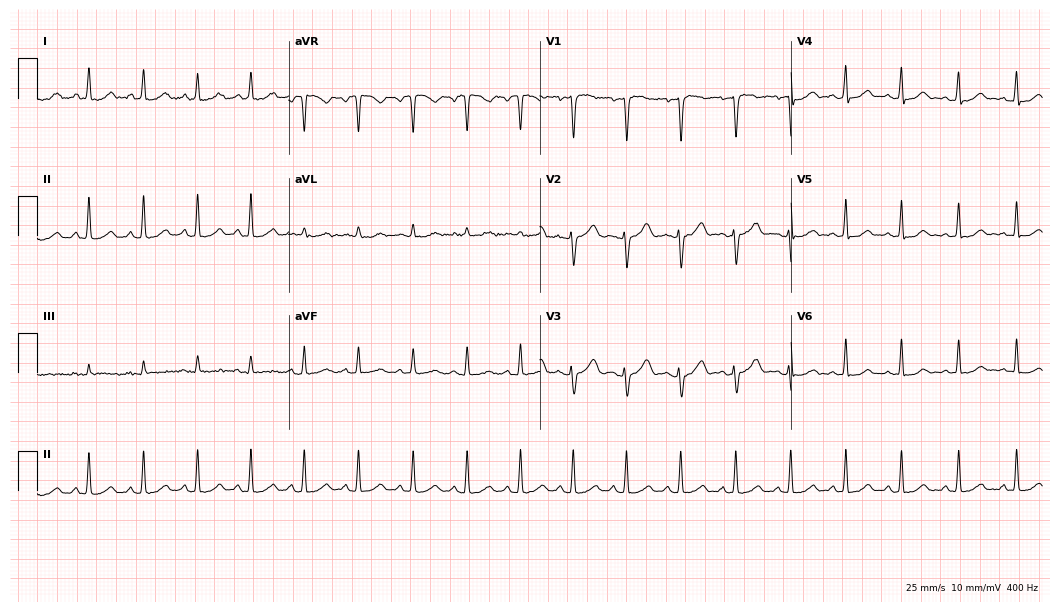
12-lead ECG from a woman, 31 years old (10.2-second recording at 400 Hz). Shows sinus tachycardia (a sinus rate of 100 beats per minute or more).